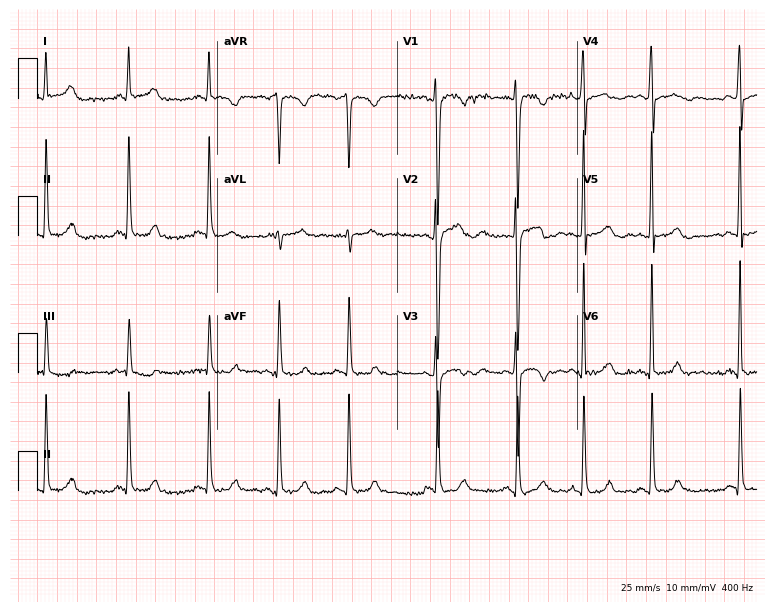
ECG — a female, 26 years old. Labelled as a normal ECG.